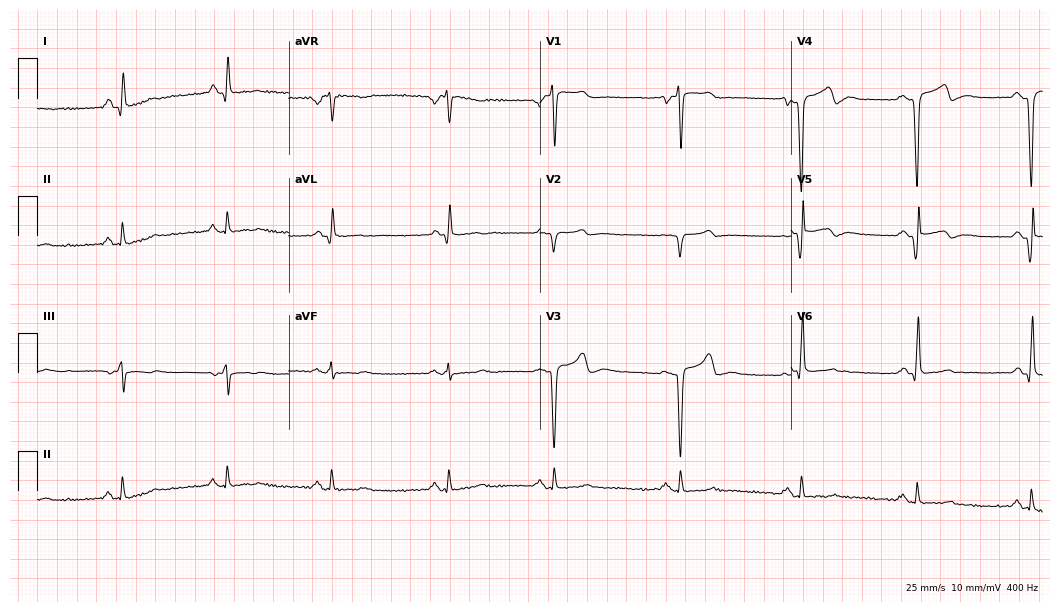
Electrocardiogram, a male, 55 years old. Of the six screened findings (first-degree AV block, right bundle branch block, left bundle branch block, sinus bradycardia, atrial fibrillation, sinus tachycardia), none is recorded.